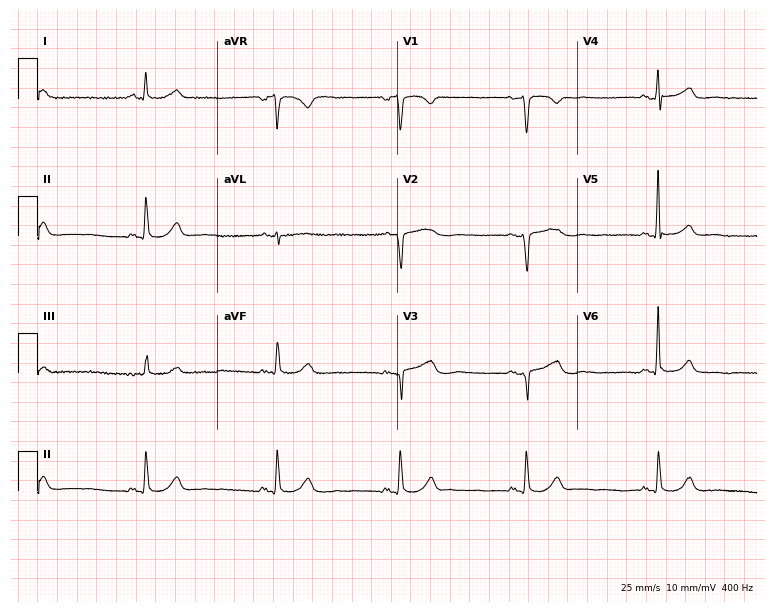
ECG — a female patient, 67 years old. Findings include sinus bradycardia (a sinus rate of 50 beats per minute or less).